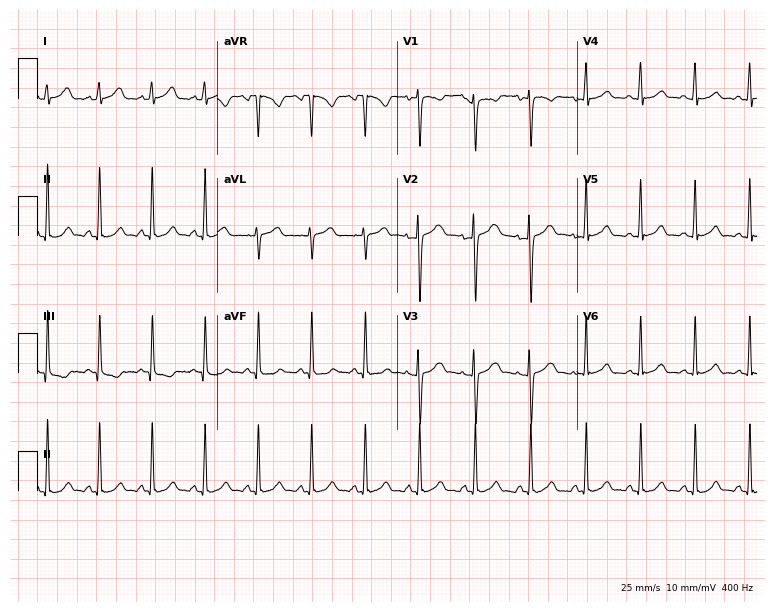
Electrocardiogram (7.3-second recording at 400 Hz), a 32-year-old female. Interpretation includes sinus tachycardia (a sinus rate of 100 beats per minute or more).